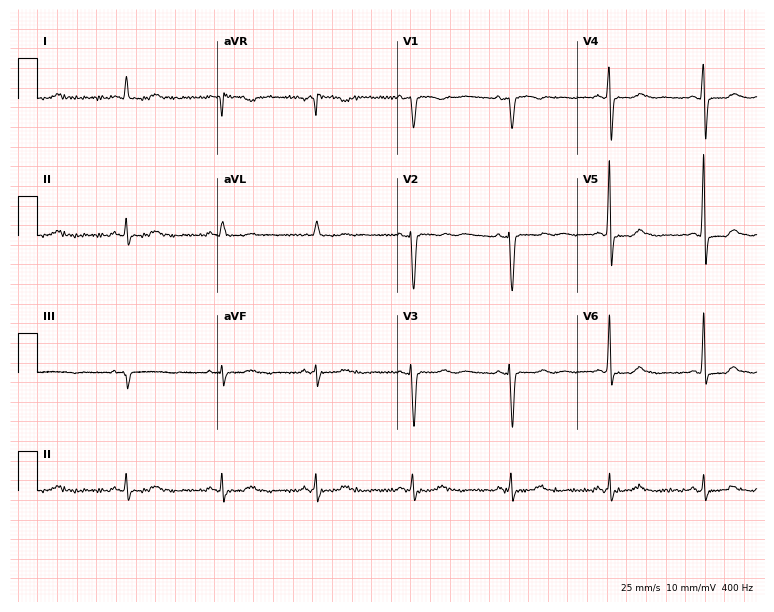
12-lead ECG from a 62-year-old woman. Recorded interpretation: within normal limits.